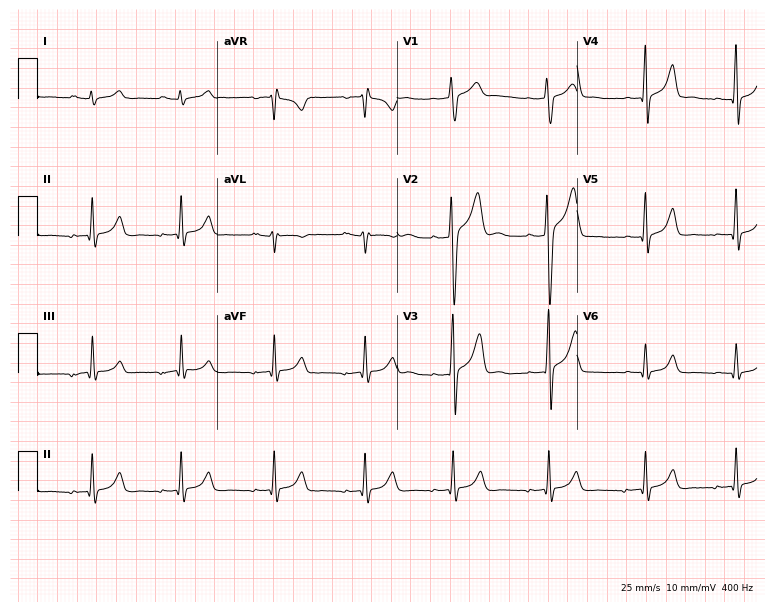
12-lead ECG from a male, 27 years old. Screened for six findings — first-degree AV block, right bundle branch block, left bundle branch block, sinus bradycardia, atrial fibrillation, sinus tachycardia — none is recorded. Only these six findings were labelled.